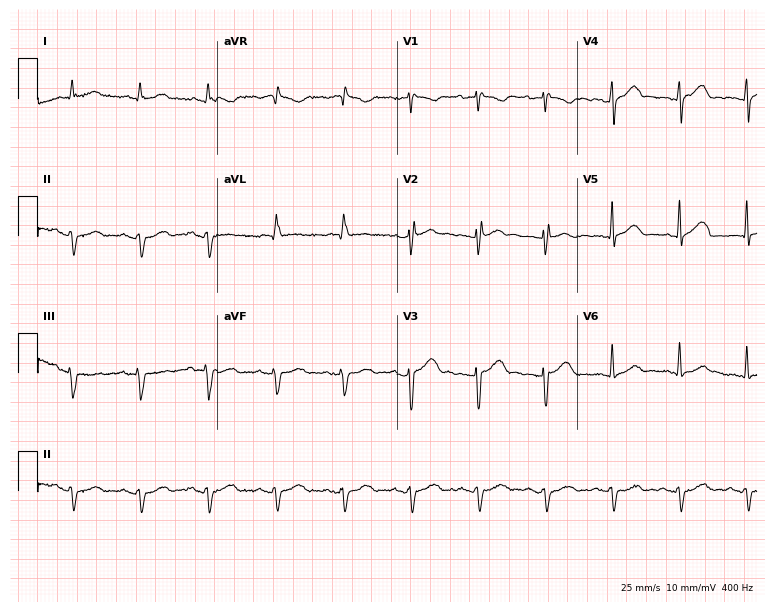
12-lead ECG (7.3-second recording at 400 Hz) from a male patient, 66 years old. Screened for six findings — first-degree AV block, right bundle branch block, left bundle branch block, sinus bradycardia, atrial fibrillation, sinus tachycardia — none is recorded. Only these six findings were labelled.